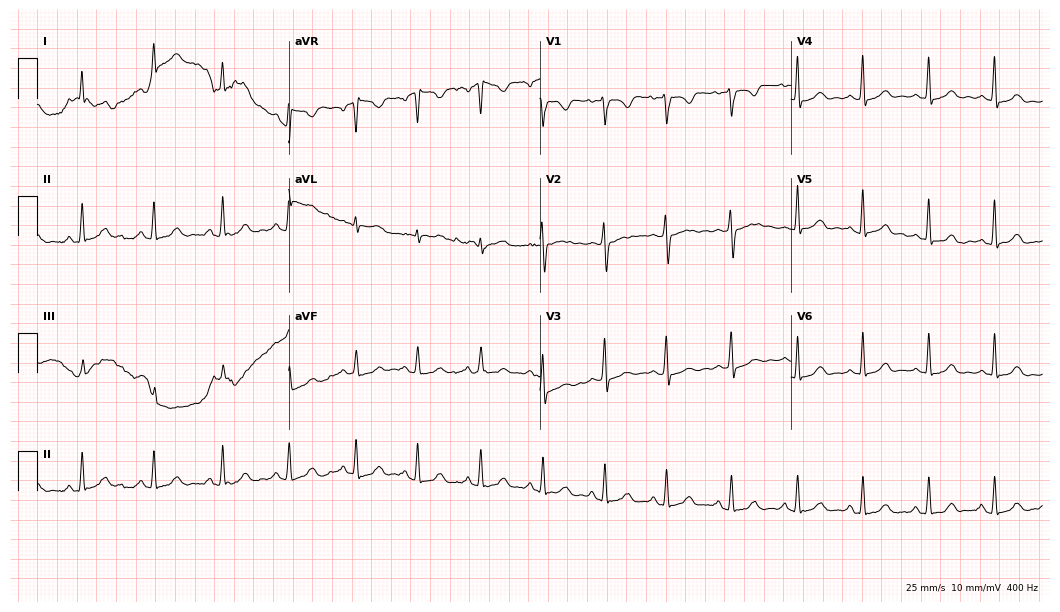
ECG (10.2-second recording at 400 Hz) — a 38-year-old female. Labelled as a normal ECG.